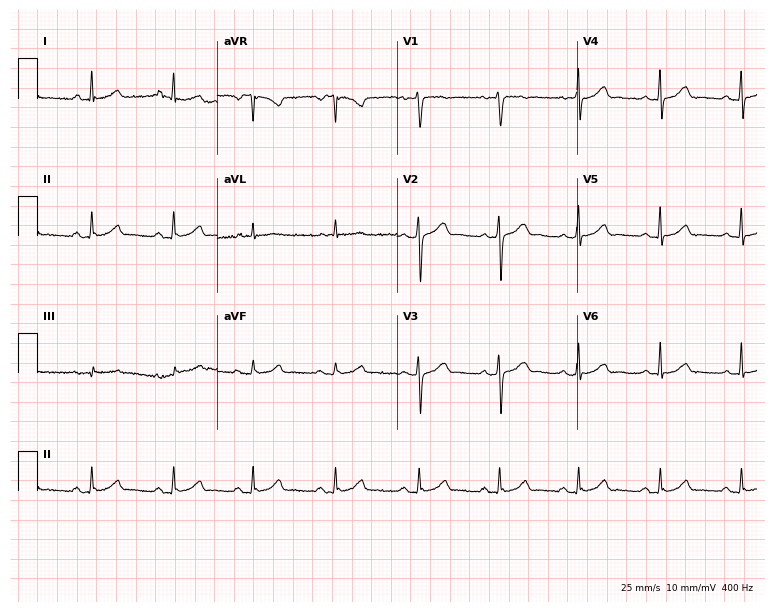
Resting 12-lead electrocardiogram (7.3-second recording at 400 Hz). Patient: a 54-year-old female. Read as a normal ECG.